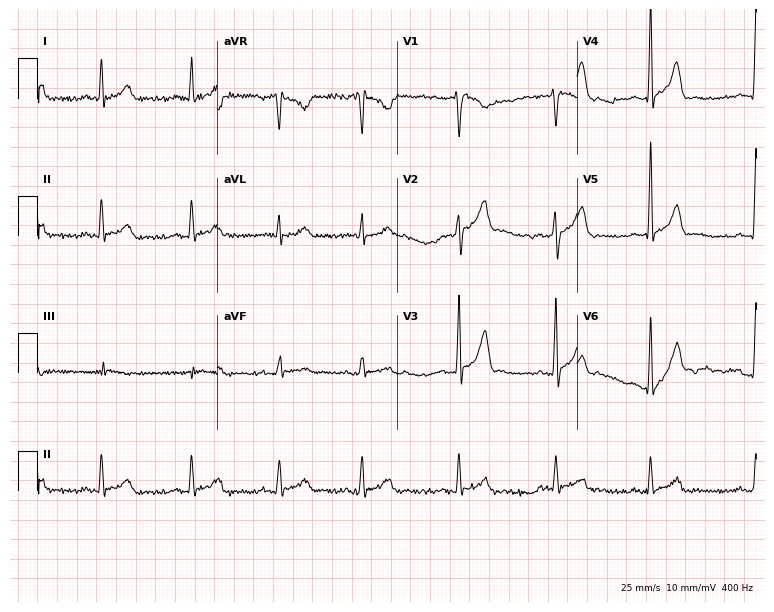
Resting 12-lead electrocardiogram (7.3-second recording at 400 Hz). Patient: a 37-year-old man. None of these six findings is recorded: first-degree AV block, right bundle branch block (RBBB), left bundle branch block (LBBB), sinus bradycardia, atrial fibrillation (AF), sinus tachycardia. Other findings, if any, are not listed.